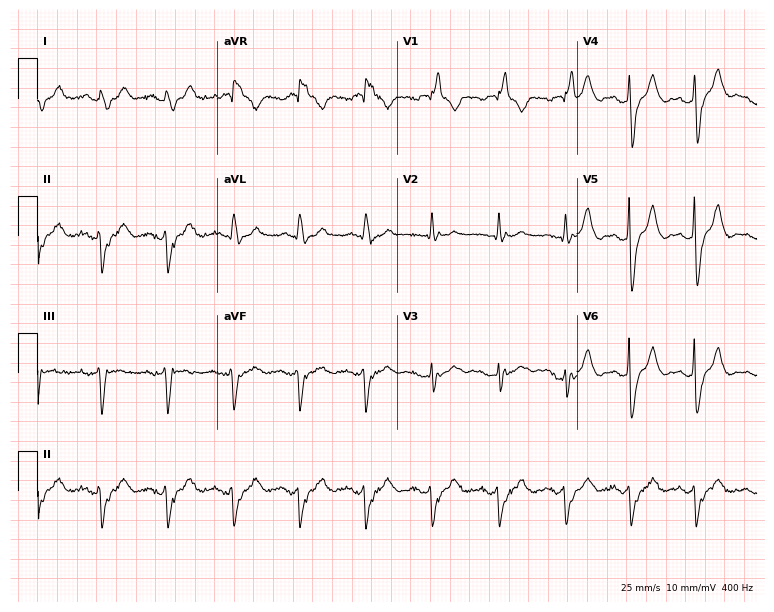
Standard 12-lead ECG recorded from a man, 48 years old. None of these six findings is recorded: first-degree AV block, right bundle branch block (RBBB), left bundle branch block (LBBB), sinus bradycardia, atrial fibrillation (AF), sinus tachycardia. Findings outside these six are not listed.